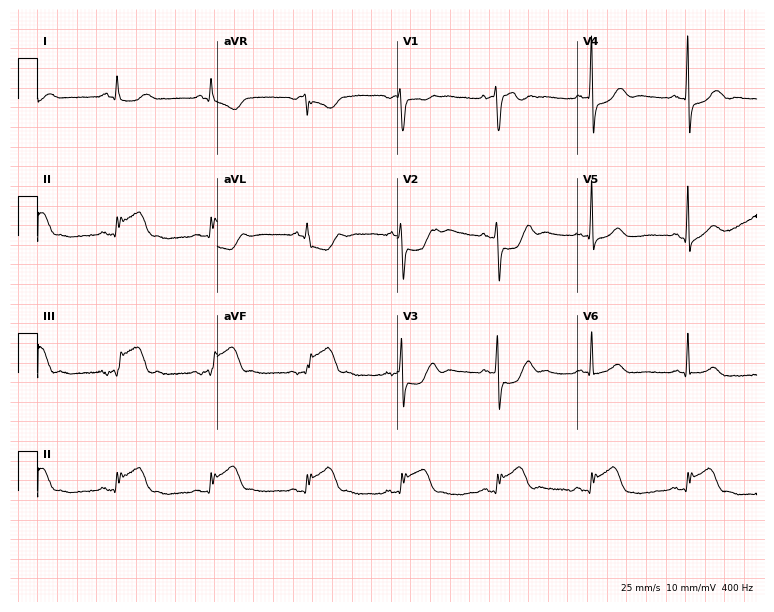
12-lead ECG (7.3-second recording at 400 Hz) from a 71-year-old male. Screened for six findings — first-degree AV block, right bundle branch block, left bundle branch block, sinus bradycardia, atrial fibrillation, sinus tachycardia — none is recorded. Findings outside these six are not listed.